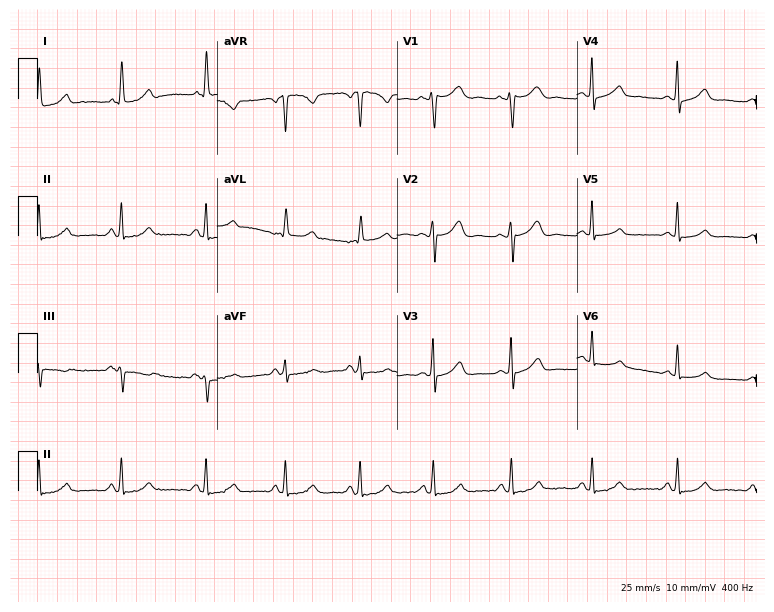
Electrocardiogram, a female patient, 44 years old. Of the six screened findings (first-degree AV block, right bundle branch block, left bundle branch block, sinus bradycardia, atrial fibrillation, sinus tachycardia), none is recorded.